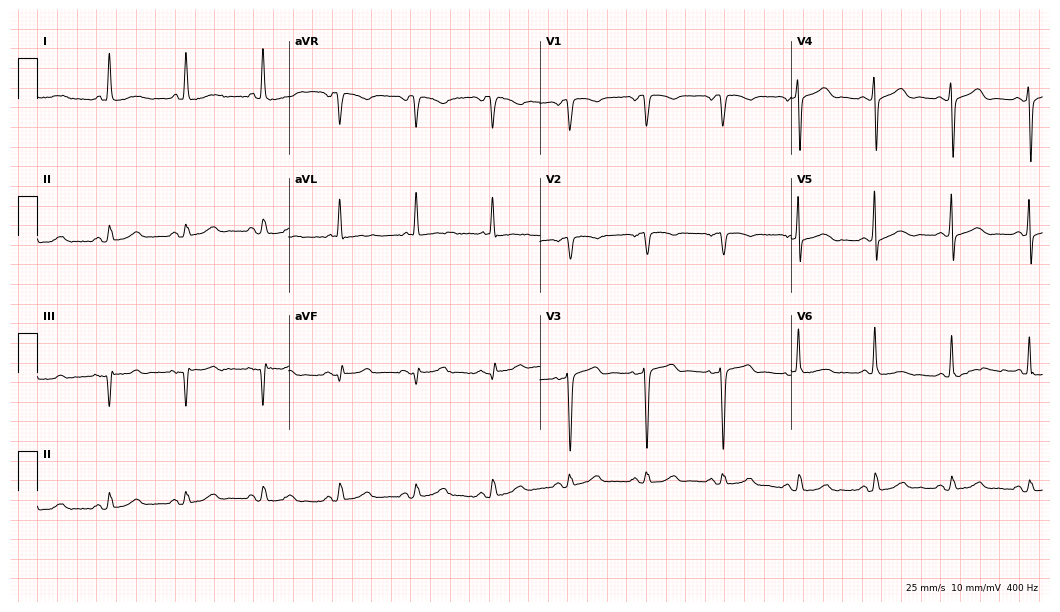
Electrocardiogram (10.2-second recording at 400 Hz), a woman, 75 years old. Of the six screened findings (first-degree AV block, right bundle branch block, left bundle branch block, sinus bradycardia, atrial fibrillation, sinus tachycardia), none is recorded.